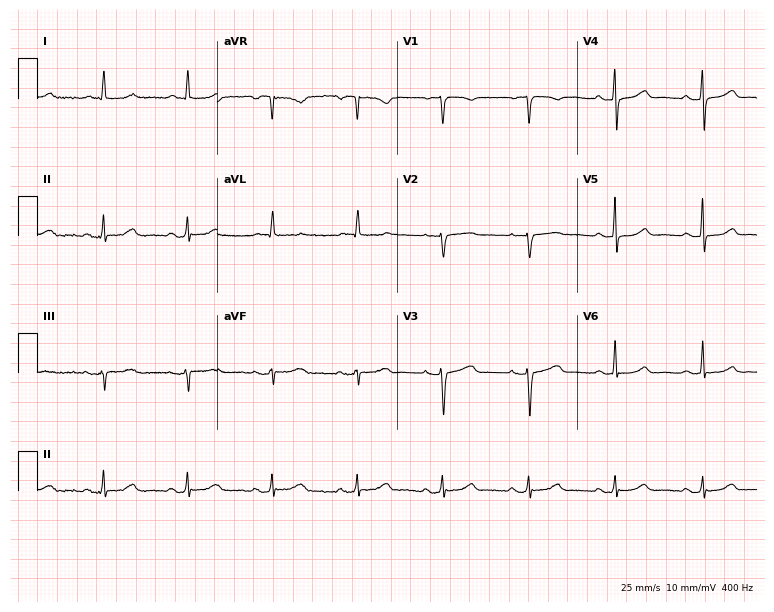
Resting 12-lead electrocardiogram (7.3-second recording at 400 Hz). Patient: a woman, 61 years old. None of these six findings is recorded: first-degree AV block, right bundle branch block, left bundle branch block, sinus bradycardia, atrial fibrillation, sinus tachycardia. Findings outside these six are not listed.